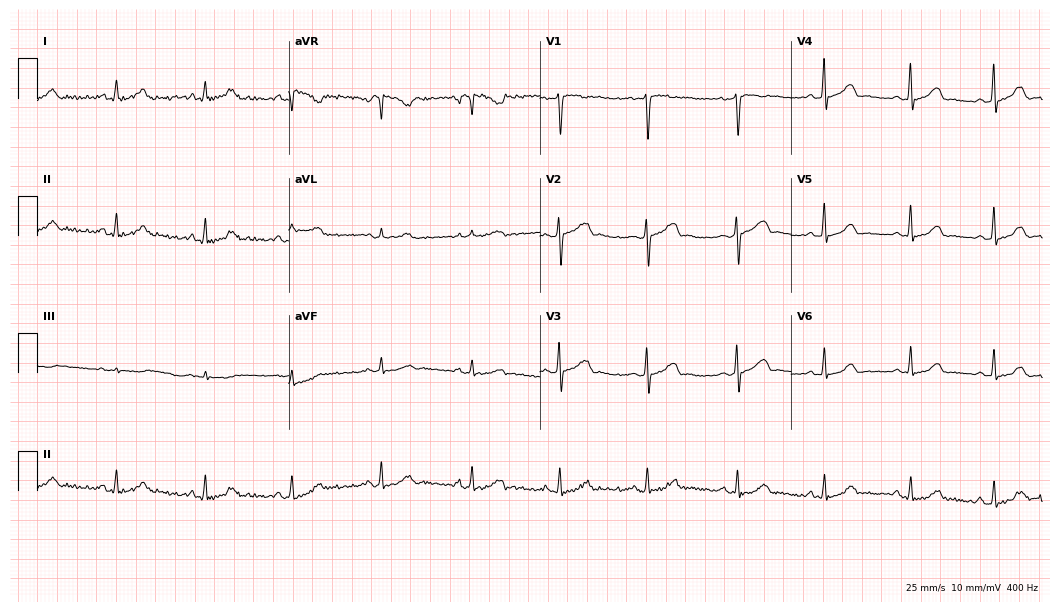
Electrocardiogram (10.2-second recording at 400 Hz), a 41-year-old female. Of the six screened findings (first-degree AV block, right bundle branch block (RBBB), left bundle branch block (LBBB), sinus bradycardia, atrial fibrillation (AF), sinus tachycardia), none is recorded. Findings outside these six are not listed.